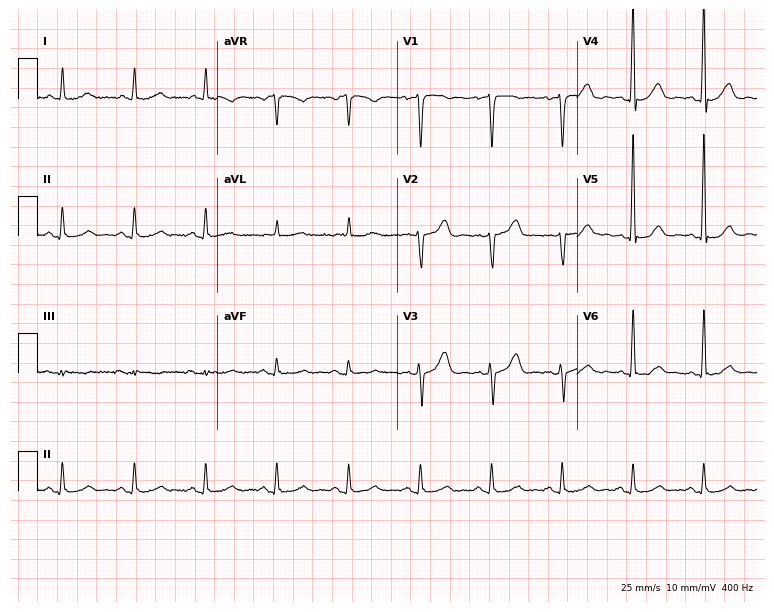
12-lead ECG (7.3-second recording at 400 Hz) from a woman, 69 years old. Labelled as a normal ECG.